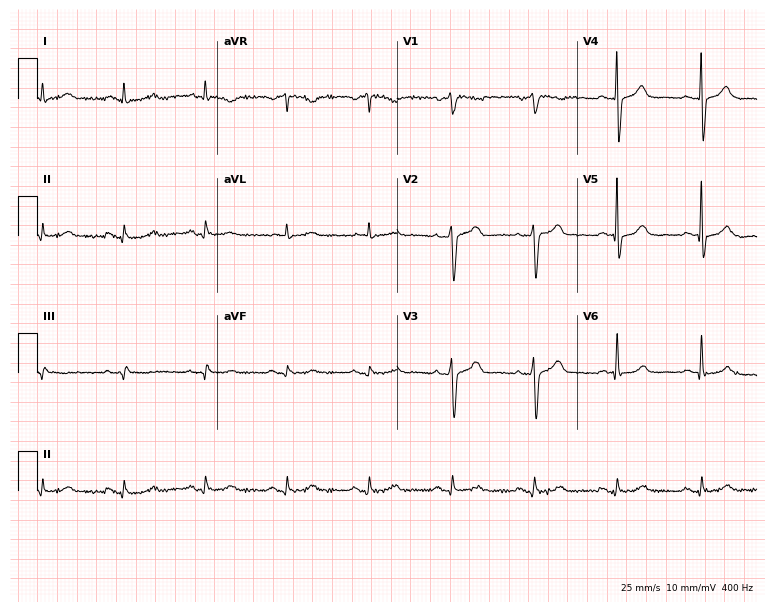
12-lead ECG from a 58-year-old male patient (7.3-second recording at 400 Hz). No first-degree AV block, right bundle branch block (RBBB), left bundle branch block (LBBB), sinus bradycardia, atrial fibrillation (AF) or sinus tachycardia recorded for this tracing. Other findings, if any, are not listed.